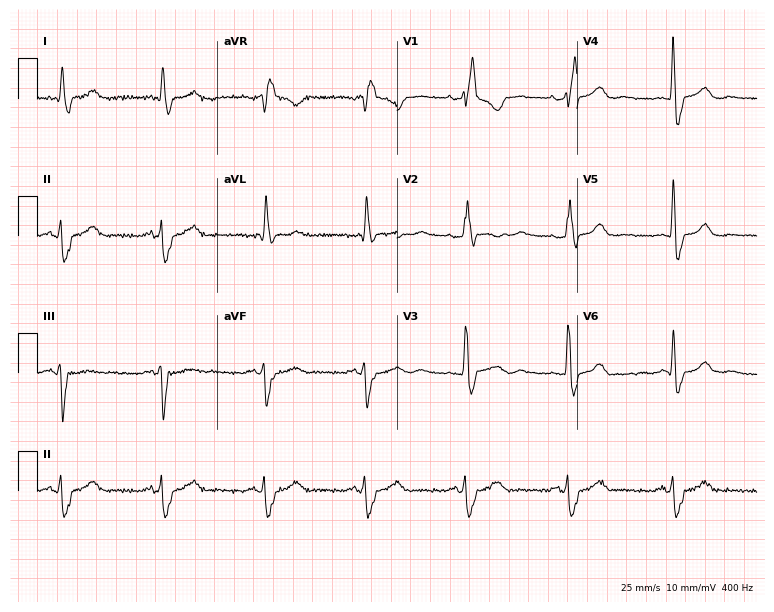
Standard 12-lead ECG recorded from a 74-year-old man. The tracing shows right bundle branch block (RBBB).